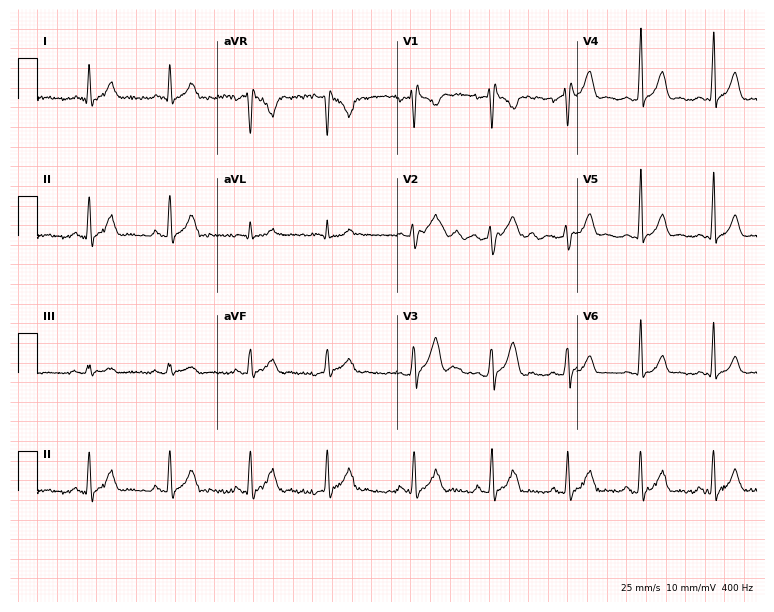
ECG (7.3-second recording at 400 Hz) — a male patient, 31 years old. Screened for six findings — first-degree AV block, right bundle branch block, left bundle branch block, sinus bradycardia, atrial fibrillation, sinus tachycardia — none is recorded.